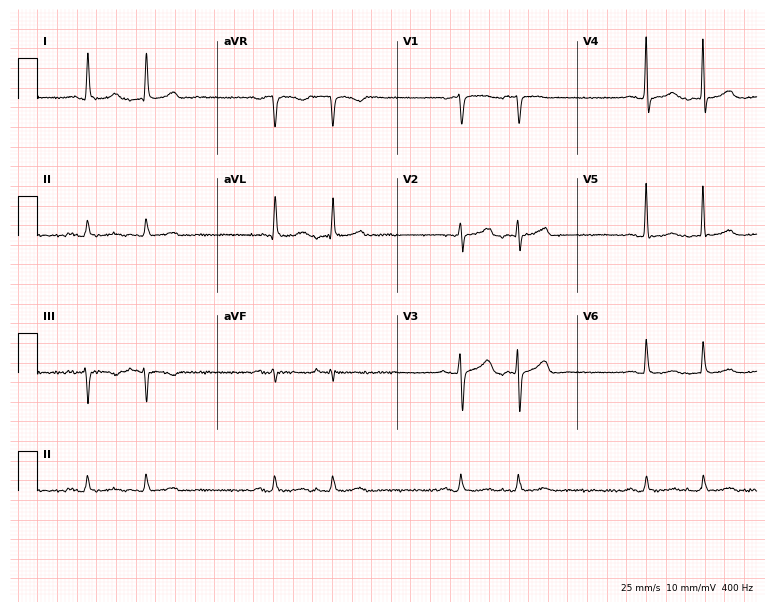
Electrocardiogram (7.3-second recording at 400 Hz), a female, 76 years old. Of the six screened findings (first-degree AV block, right bundle branch block, left bundle branch block, sinus bradycardia, atrial fibrillation, sinus tachycardia), none is recorded. Other findings, if any, are not listed.